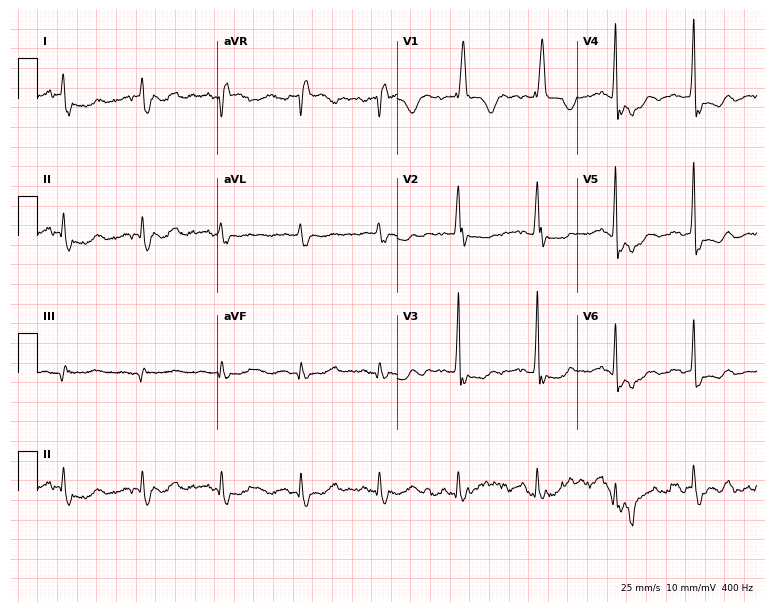
Resting 12-lead electrocardiogram. Patient: a male, 70 years old. None of these six findings is recorded: first-degree AV block, right bundle branch block, left bundle branch block, sinus bradycardia, atrial fibrillation, sinus tachycardia. Findings outside these six are not listed.